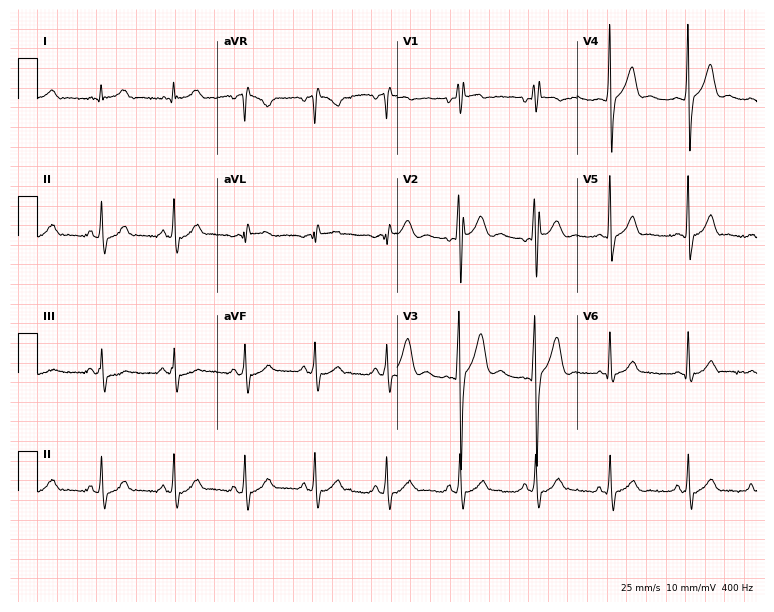
ECG (7.3-second recording at 400 Hz) — a male, 17 years old. Screened for six findings — first-degree AV block, right bundle branch block (RBBB), left bundle branch block (LBBB), sinus bradycardia, atrial fibrillation (AF), sinus tachycardia — none is recorded. Other findings, if any, are not listed.